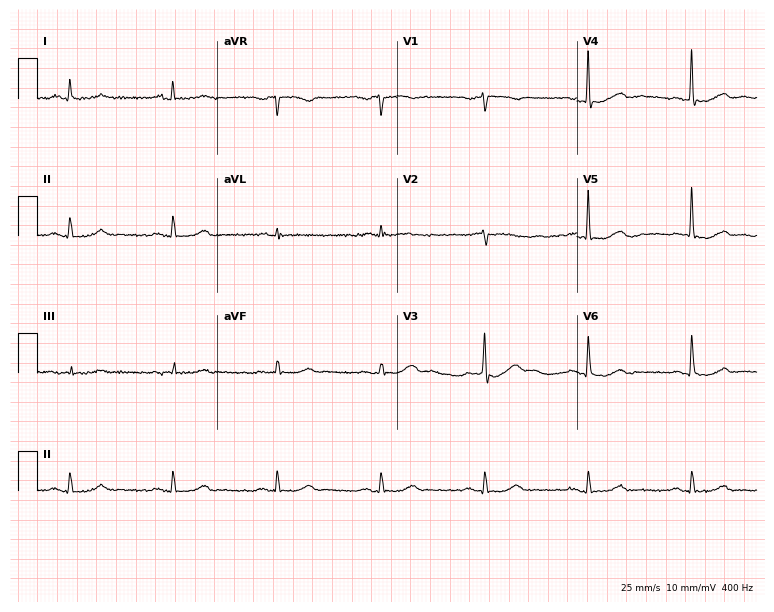
Electrocardiogram (7.3-second recording at 400 Hz), an 80-year-old male patient. Overall reading on record: normal ECG.